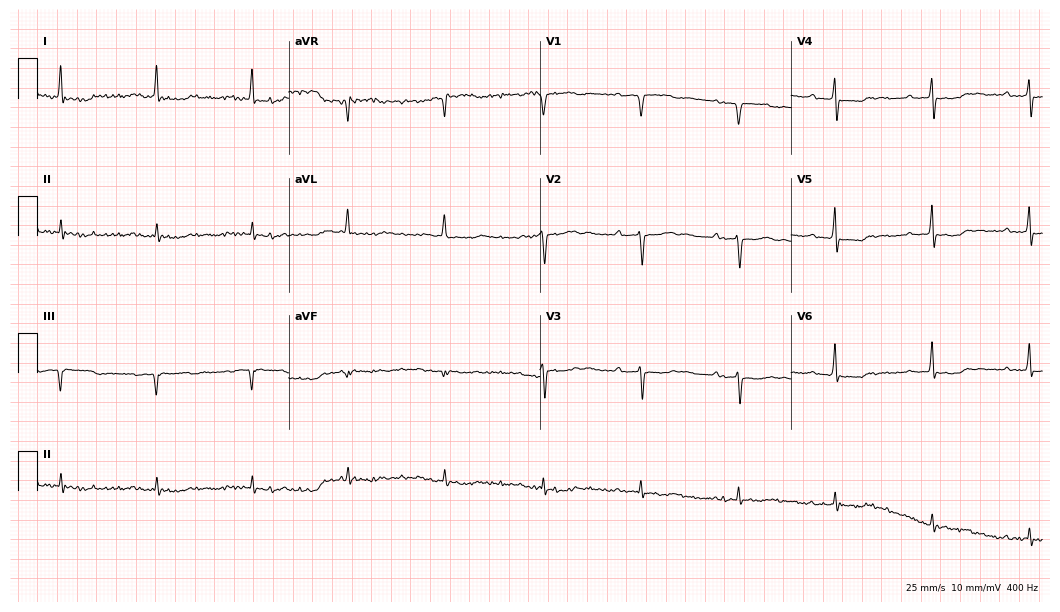
Resting 12-lead electrocardiogram. Patient: an 85-year-old male. None of these six findings is recorded: first-degree AV block, right bundle branch block, left bundle branch block, sinus bradycardia, atrial fibrillation, sinus tachycardia.